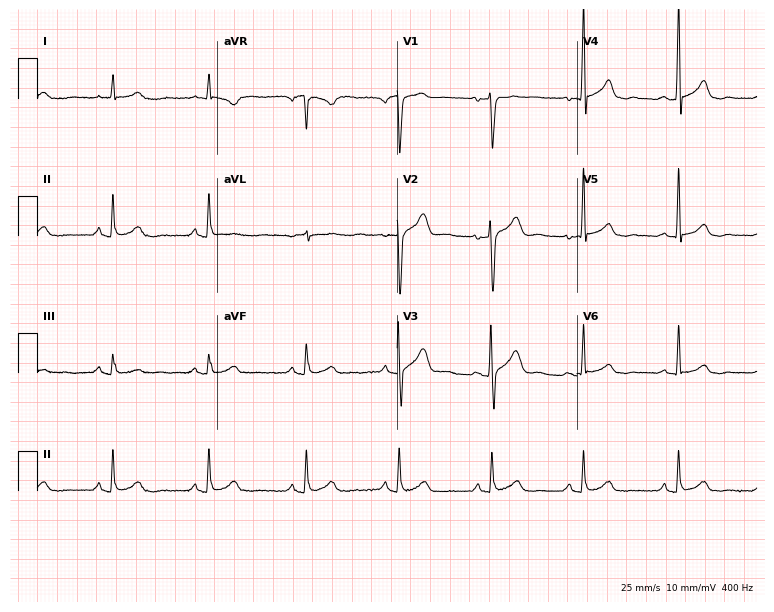
12-lead ECG from a male, 45 years old (7.3-second recording at 400 Hz). Recorded interpretation: within normal limits.